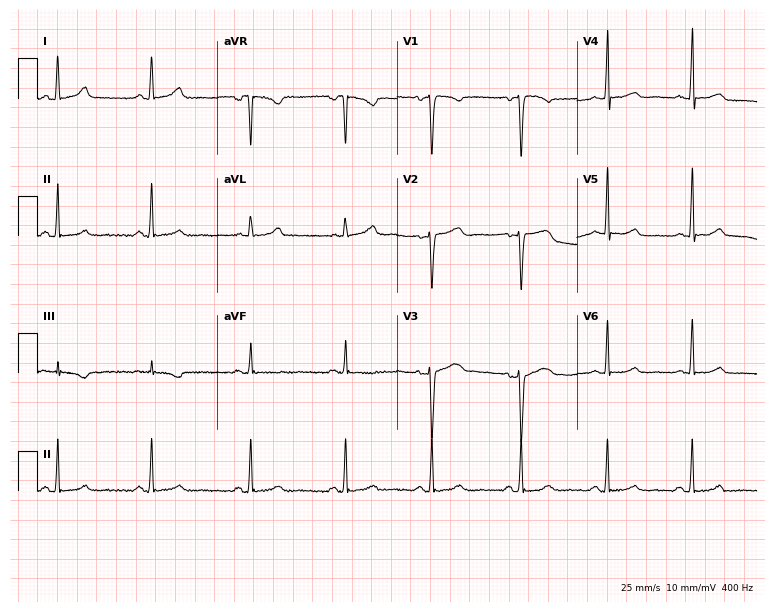
Electrocardiogram (7.3-second recording at 400 Hz), a 32-year-old woman. Of the six screened findings (first-degree AV block, right bundle branch block (RBBB), left bundle branch block (LBBB), sinus bradycardia, atrial fibrillation (AF), sinus tachycardia), none is recorded. Findings outside these six are not listed.